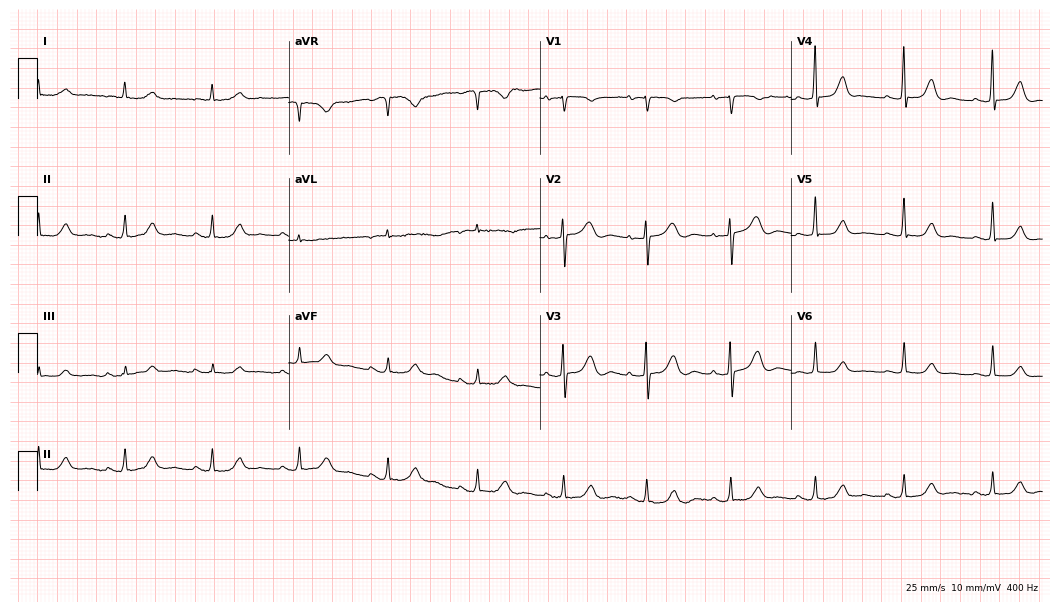
Electrocardiogram (10.2-second recording at 400 Hz), a woman, 84 years old. Of the six screened findings (first-degree AV block, right bundle branch block (RBBB), left bundle branch block (LBBB), sinus bradycardia, atrial fibrillation (AF), sinus tachycardia), none is recorded. Other findings, if any, are not listed.